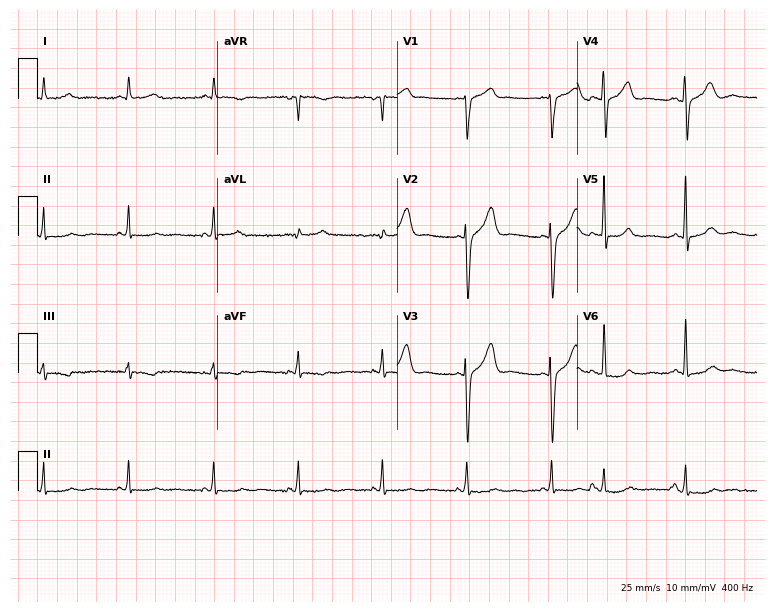
Electrocardiogram (7.3-second recording at 400 Hz), a 70-year-old male. Of the six screened findings (first-degree AV block, right bundle branch block, left bundle branch block, sinus bradycardia, atrial fibrillation, sinus tachycardia), none is recorded. Only these six findings were labelled.